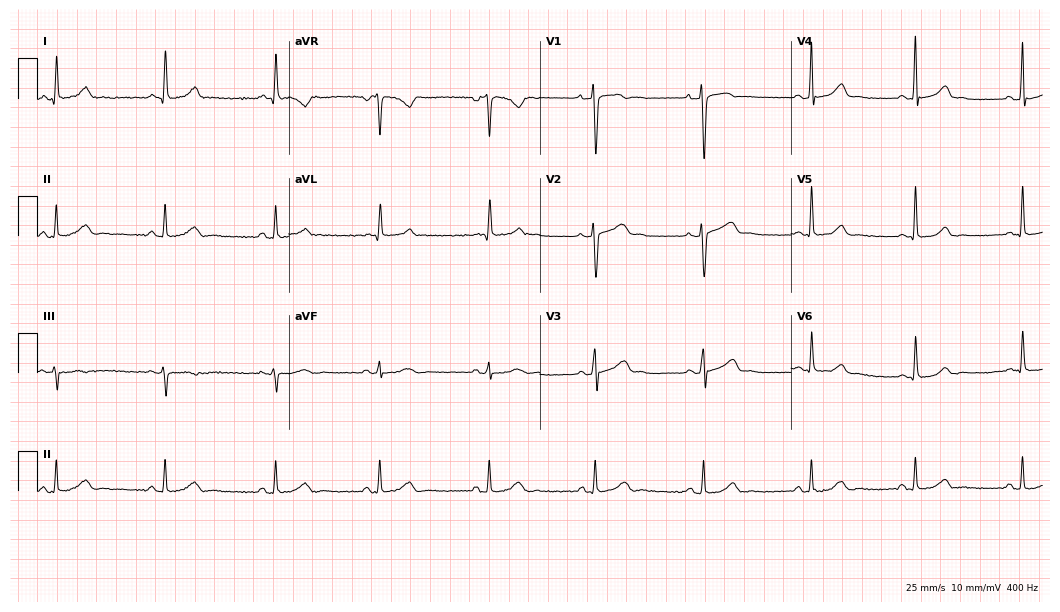
ECG — a woman, 40 years old. Screened for six findings — first-degree AV block, right bundle branch block, left bundle branch block, sinus bradycardia, atrial fibrillation, sinus tachycardia — none is recorded. Other findings, if any, are not listed.